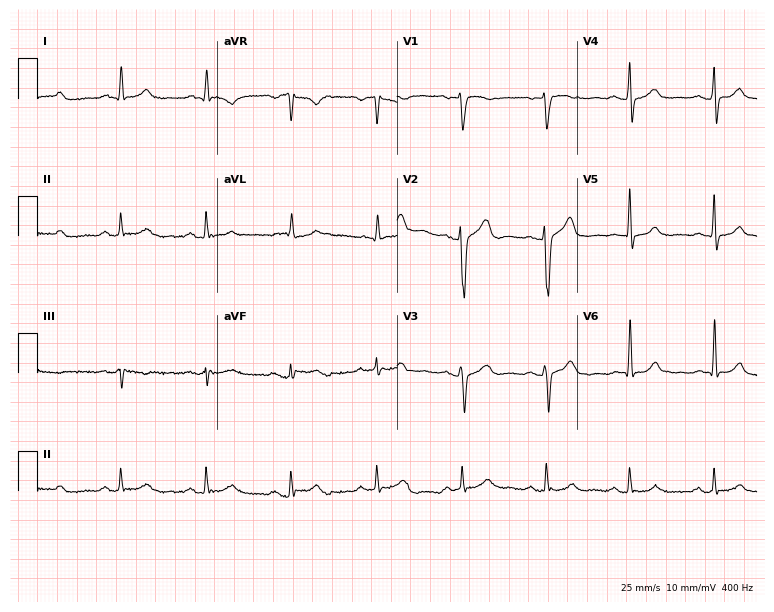
Standard 12-lead ECG recorded from a 73-year-old male patient. None of these six findings is recorded: first-degree AV block, right bundle branch block (RBBB), left bundle branch block (LBBB), sinus bradycardia, atrial fibrillation (AF), sinus tachycardia. Only these six findings were labelled.